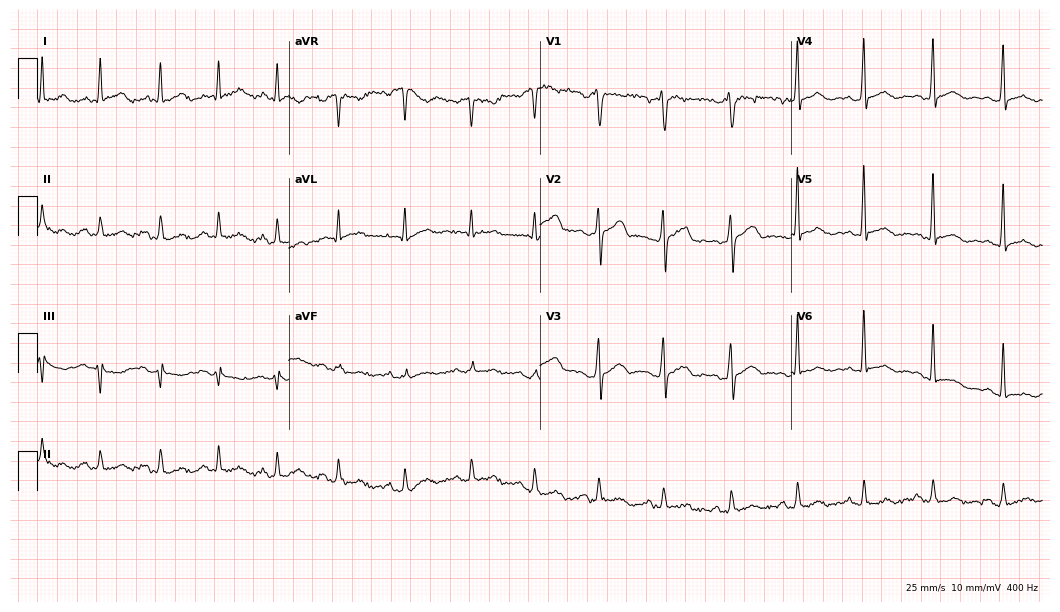
12-lead ECG from a 40-year-old man. Labelled as a normal ECG.